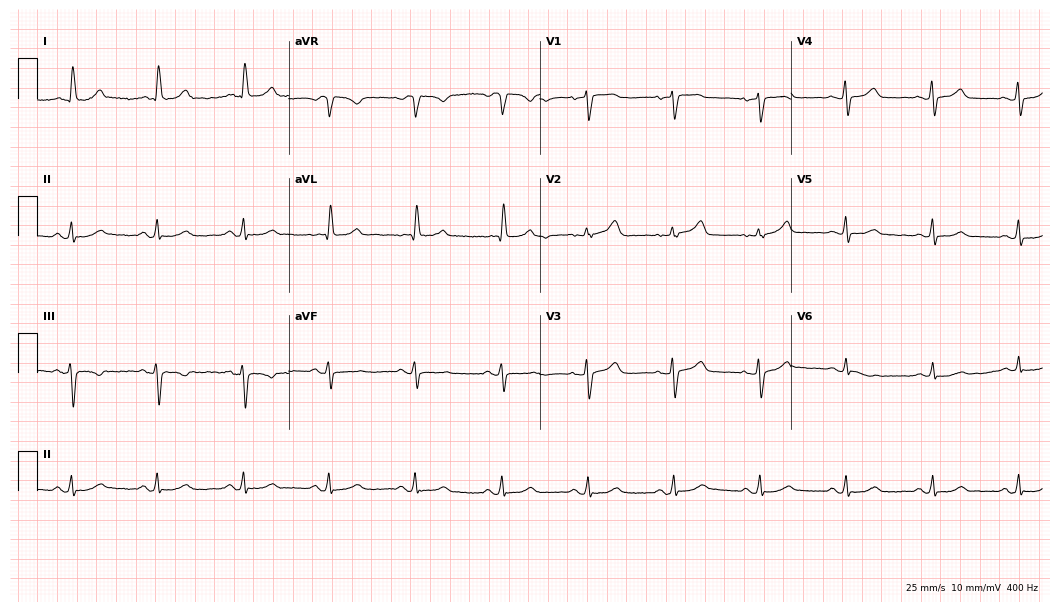
12-lead ECG (10.2-second recording at 400 Hz) from an 81-year-old female patient. Labelled as a normal ECG.